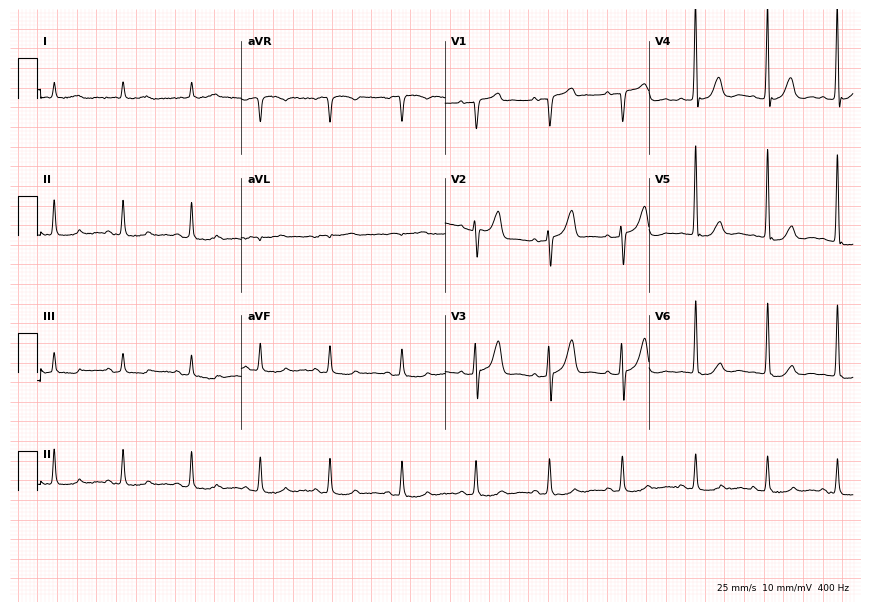
Standard 12-lead ECG recorded from an 82-year-old man (8.3-second recording at 400 Hz). None of these six findings is recorded: first-degree AV block, right bundle branch block, left bundle branch block, sinus bradycardia, atrial fibrillation, sinus tachycardia.